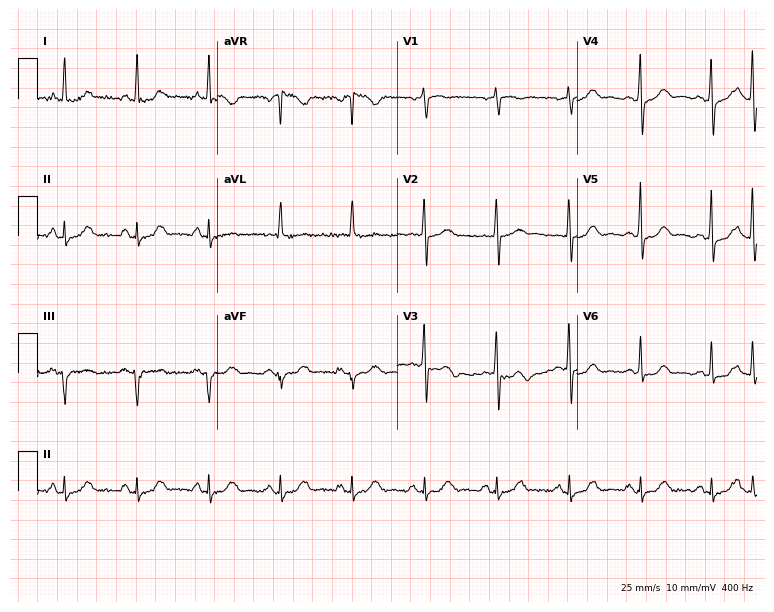
12-lead ECG (7.3-second recording at 400 Hz) from a female, 71 years old. Screened for six findings — first-degree AV block, right bundle branch block, left bundle branch block, sinus bradycardia, atrial fibrillation, sinus tachycardia — none is recorded. Findings outside these six are not listed.